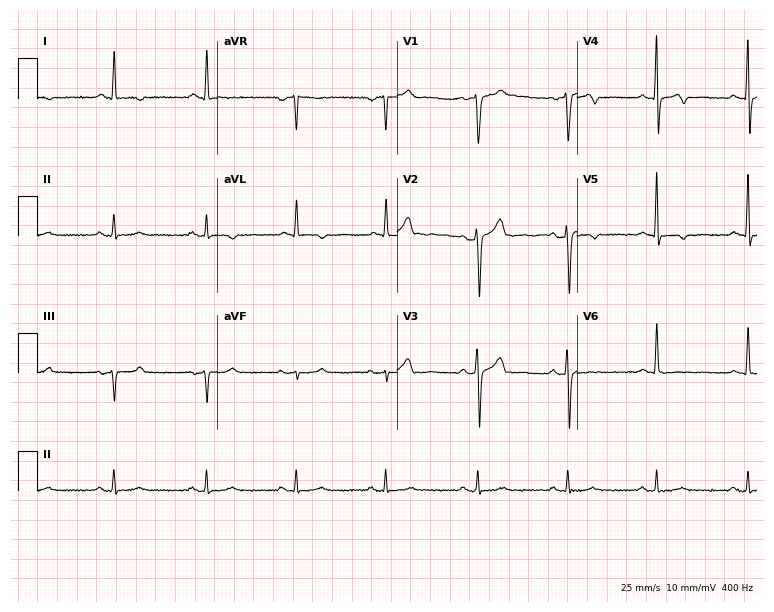
12-lead ECG from a 57-year-old male patient (7.3-second recording at 400 Hz). No first-degree AV block, right bundle branch block, left bundle branch block, sinus bradycardia, atrial fibrillation or sinus tachycardia recorded for this tracing. Other findings, if any, are not listed.